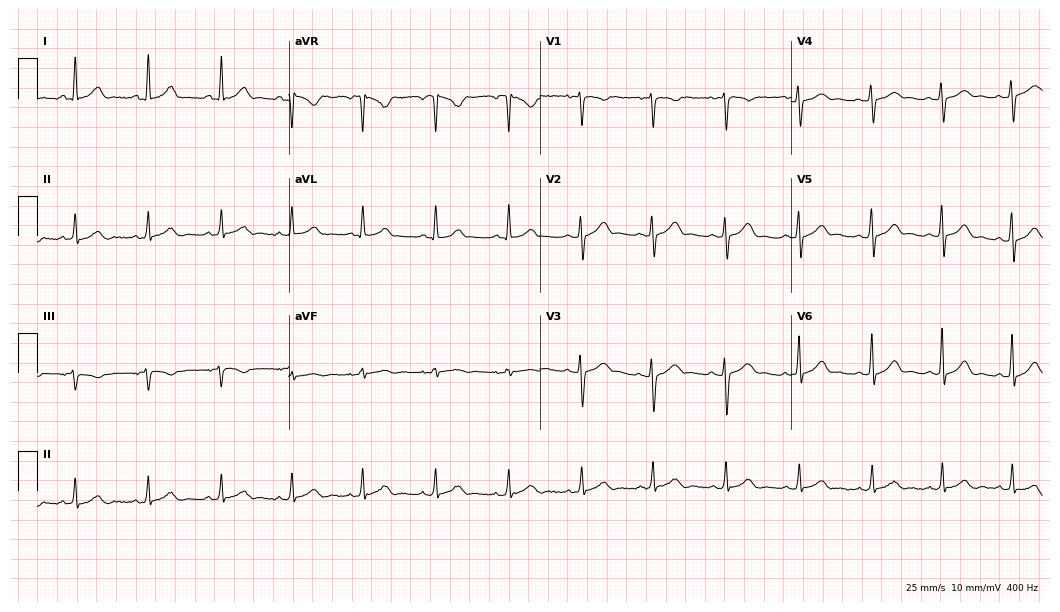
ECG — a 37-year-old woman. Labelled as a normal ECG.